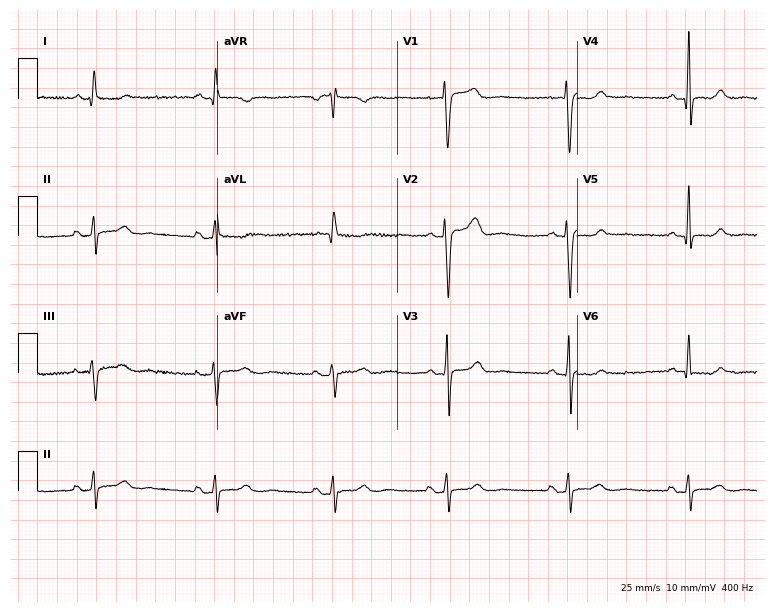
12-lead ECG from a 54-year-old female (7.3-second recording at 400 Hz). Shows sinus bradycardia (a sinus rate of 50 beats per minute or less).